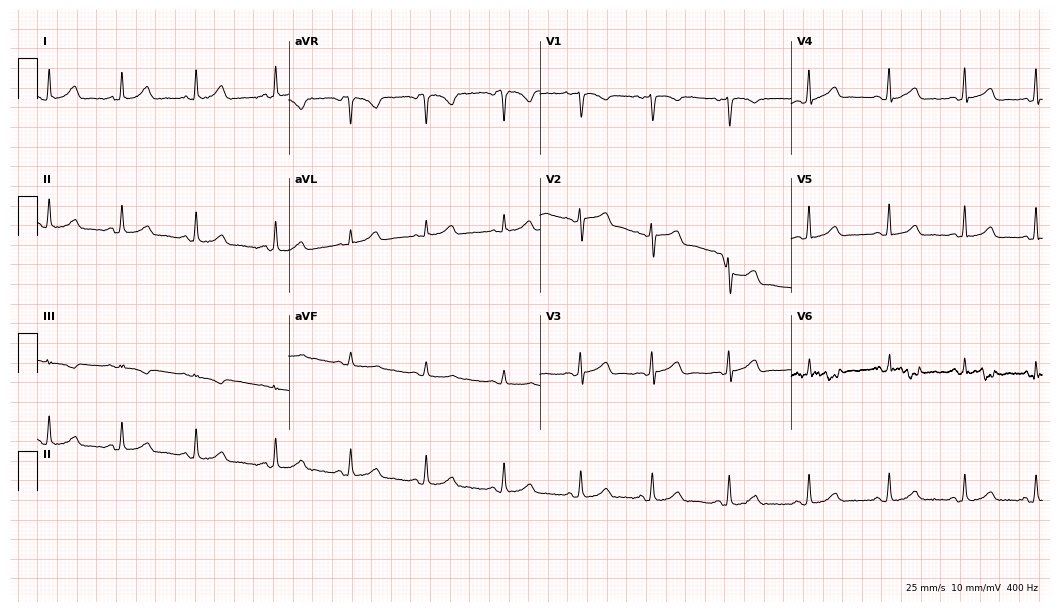
12-lead ECG from a woman, 40 years old. Labelled as a normal ECG.